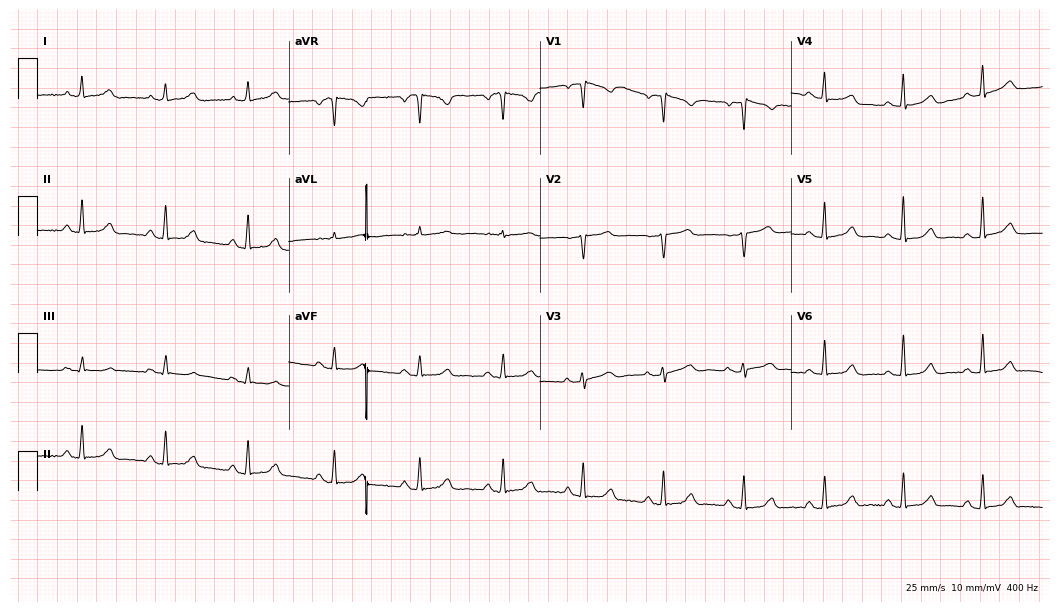
Electrocardiogram, a 49-year-old female patient. Overall reading on record: normal ECG.